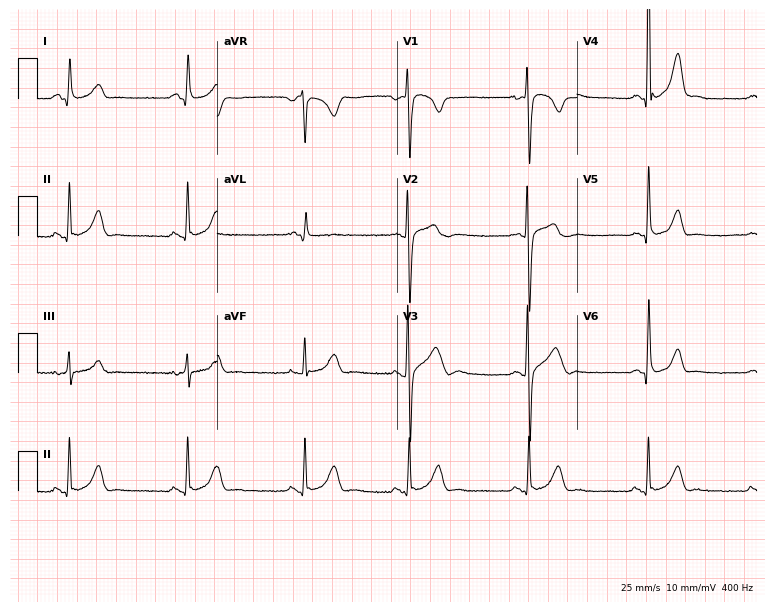
12-lead ECG from a 19-year-old male patient. Screened for six findings — first-degree AV block, right bundle branch block, left bundle branch block, sinus bradycardia, atrial fibrillation, sinus tachycardia — none is recorded.